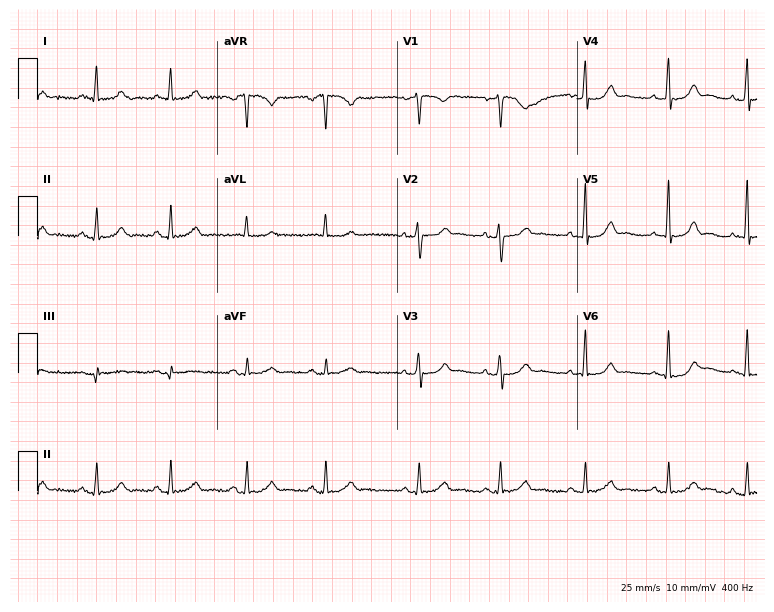
Electrocardiogram (7.3-second recording at 400 Hz), a woman, 48 years old. Overall reading on record: normal ECG.